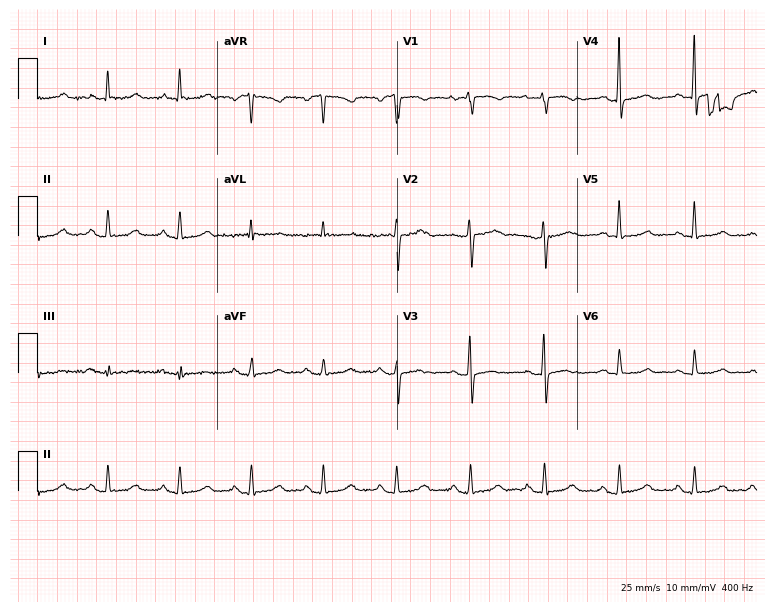
ECG (7.3-second recording at 400 Hz) — a woman, 58 years old. Screened for six findings — first-degree AV block, right bundle branch block, left bundle branch block, sinus bradycardia, atrial fibrillation, sinus tachycardia — none is recorded.